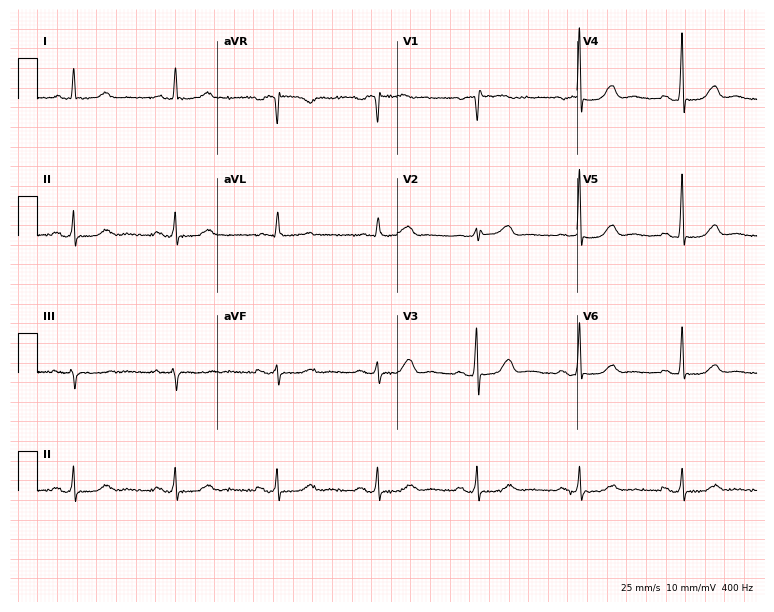
12-lead ECG from a woman, 84 years old. Screened for six findings — first-degree AV block, right bundle branch block, left bundle branch block, sinus bradycardia, atrial fibrillation, sinus tachycardia — none is recorded. Findings outside these six are not listed.